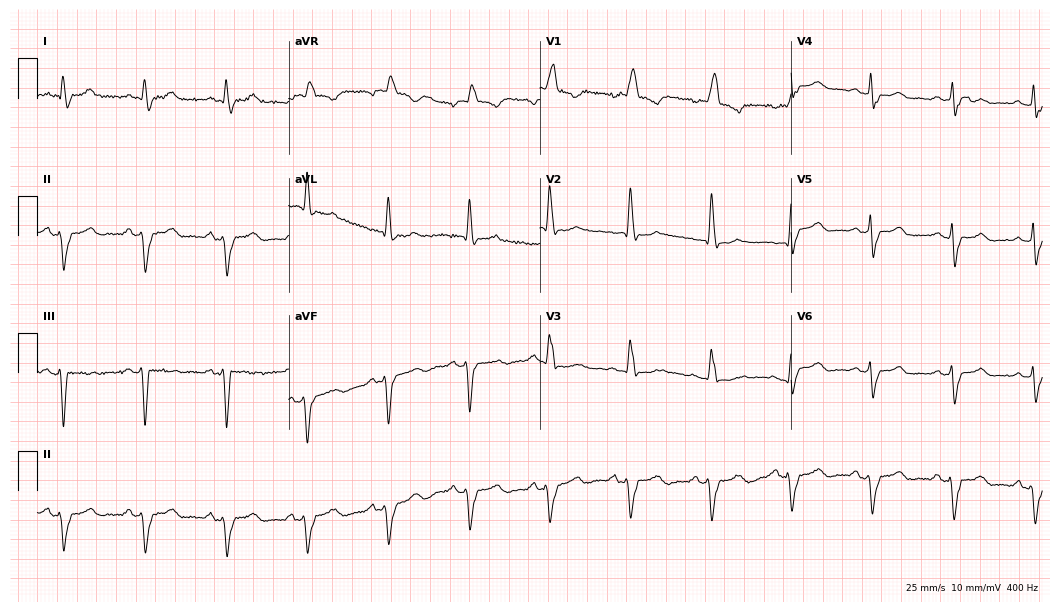
12-lead ECG from an 81-year-old female. Shows right bundle branch block (RBBB).